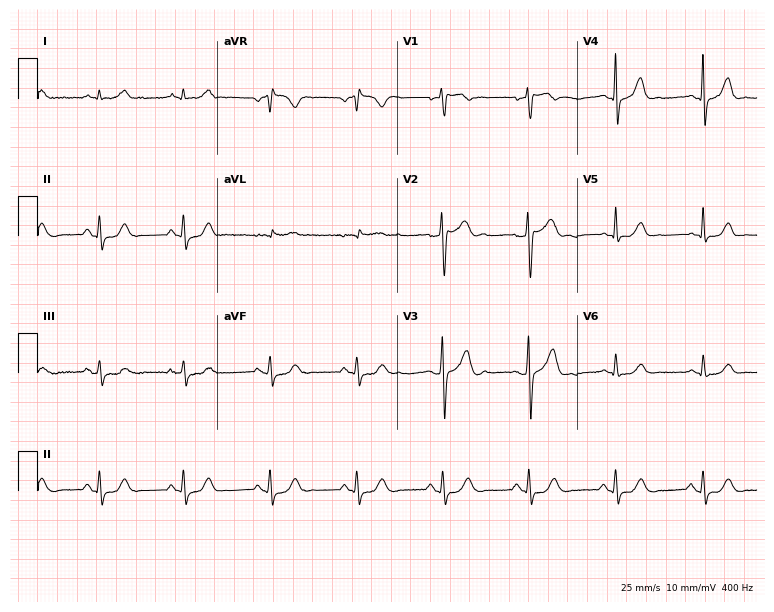
12-lead ECG from a male, 59 years old. Recorded interpretation: within normal limits.